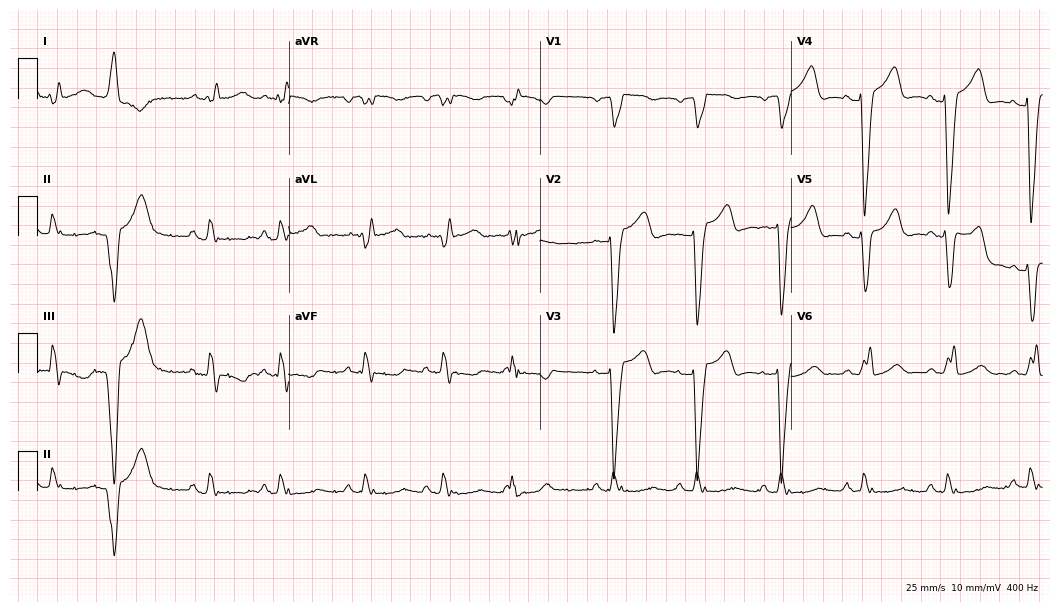
12-lead ECG (10.2-second recording at 400 Hz) from a female patient, 69 years old. Findings include left bundle branch block.